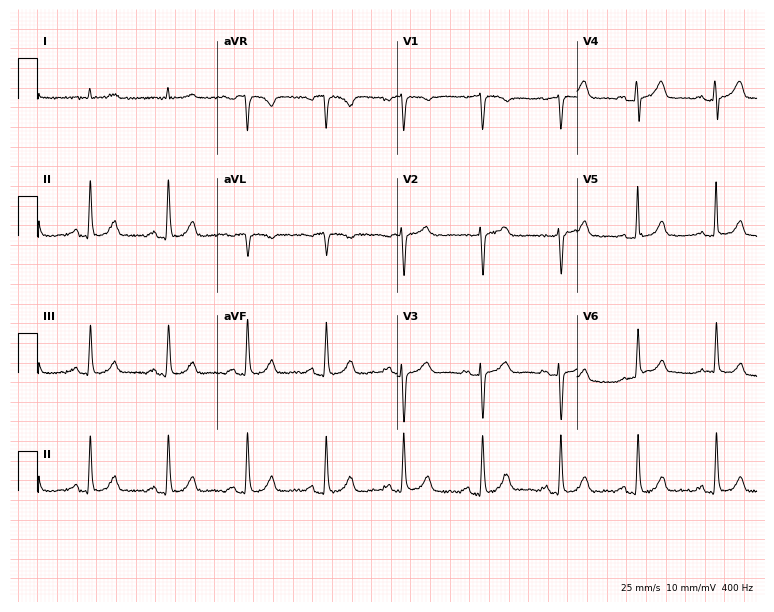
Resting 12-lead electrocardiogram (7.3-second recording at 400 Hz). Patient: a 75-year-old woman. None of these six findings is recorded: first-degree AV block, right bundle branch block, left bundle branch block, sinus bradycardia, atrial fibrillation, sinus tachycardia.